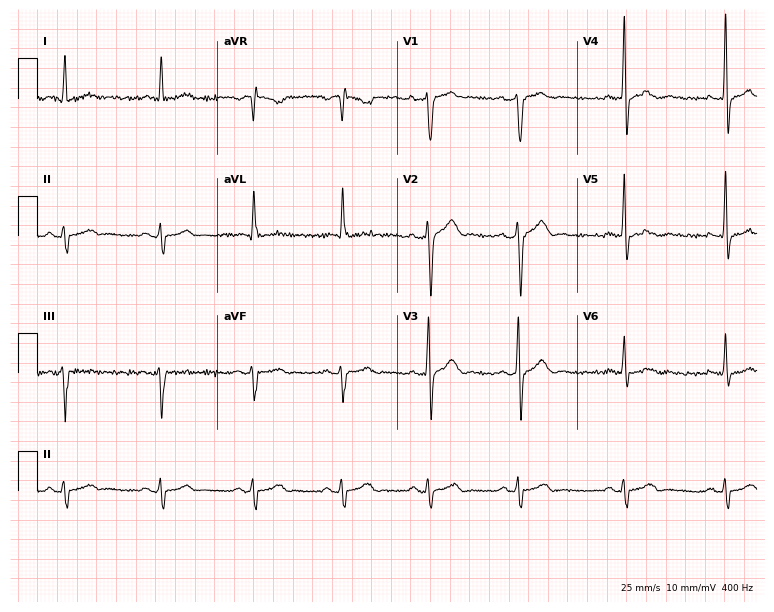
Resting 12-lead electrocardiogram (7.3-second recording at 400 Hz). Patient: a 59-year-old male. Read as a normal ECG.